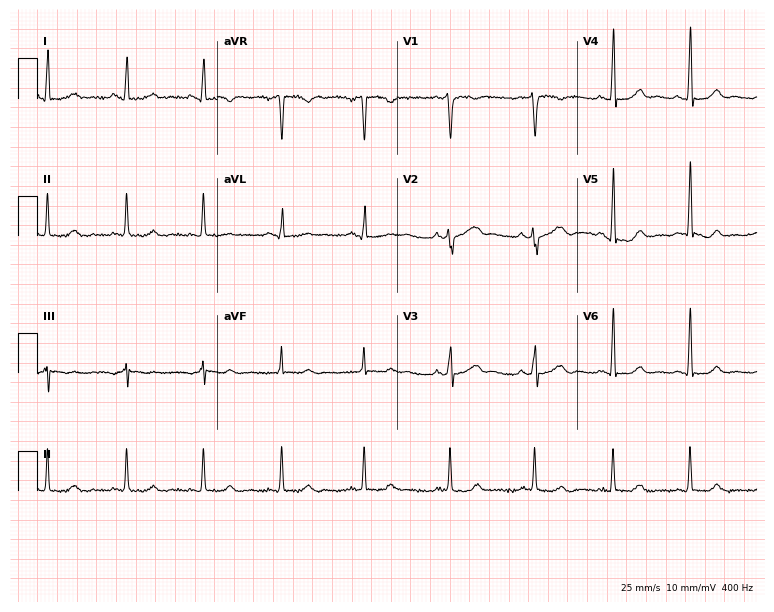
12-lead ECG from a female, 34 years old. No first-degree AV block, right bundle branch block, left bundle branch block, sinus bradycardia, atrial fibrillation or sinus tachycardia recorded for this tracing. Findings outside these six are not listed.